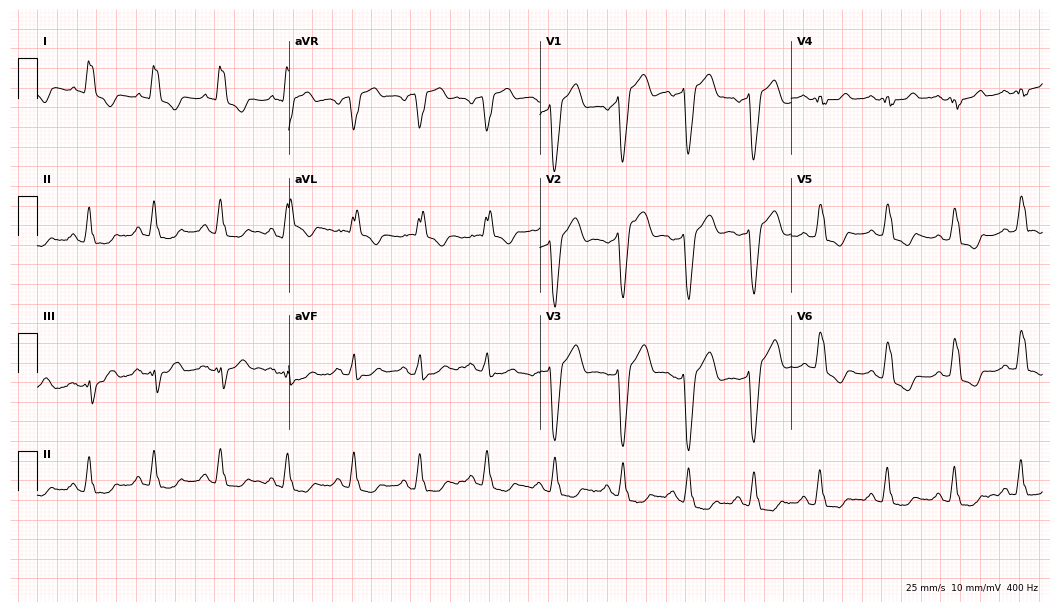
Electrocardiogram, a 65-year-old female patient. Interpretation includes left bundle branch block (LBBB).